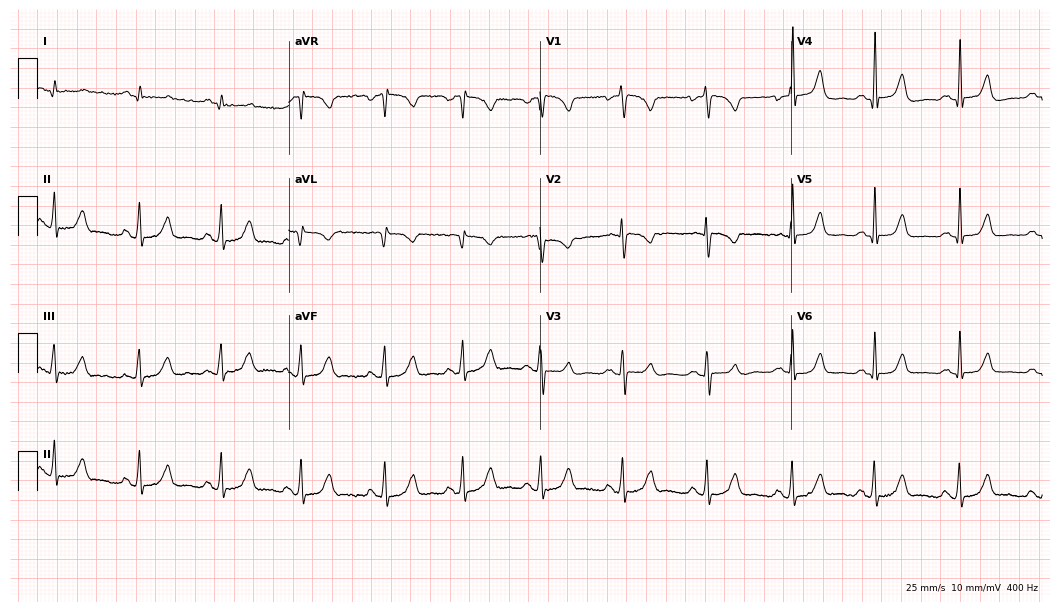
Standard 12-lead ECG recorded from a woman, 28 years old (10.2-second recording at 400 Hz). None of these six findings is recorded: first-degree AV block, right bundle branch block, left bundle branch block, sinus bradycardia, atrial fibrillation, sinus tachycardia. Findings outside these six are not listed.